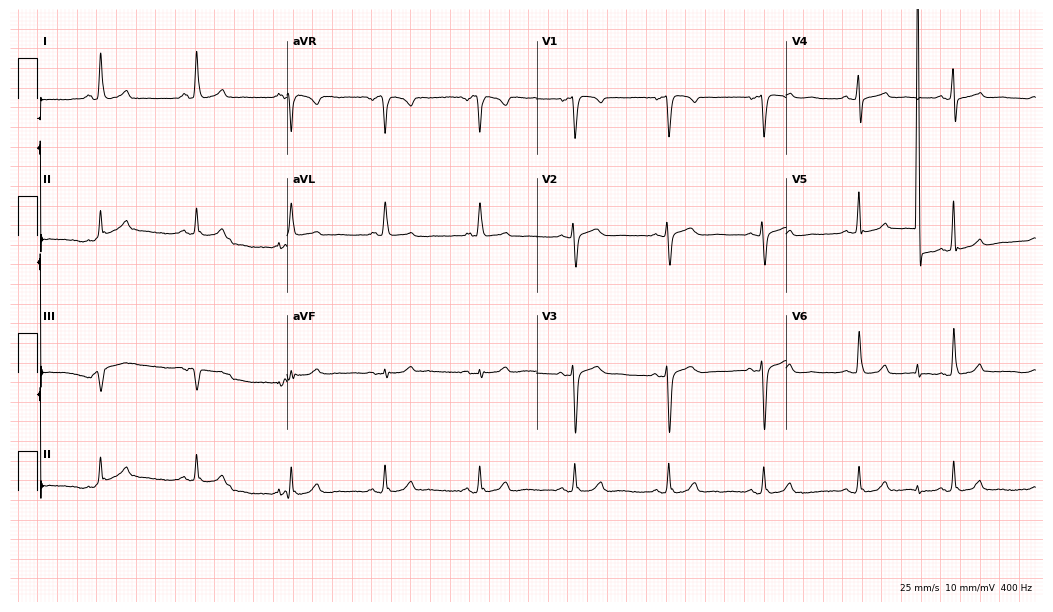
ECG — a female patient, 67 years old. Labelled as a normal ECG.